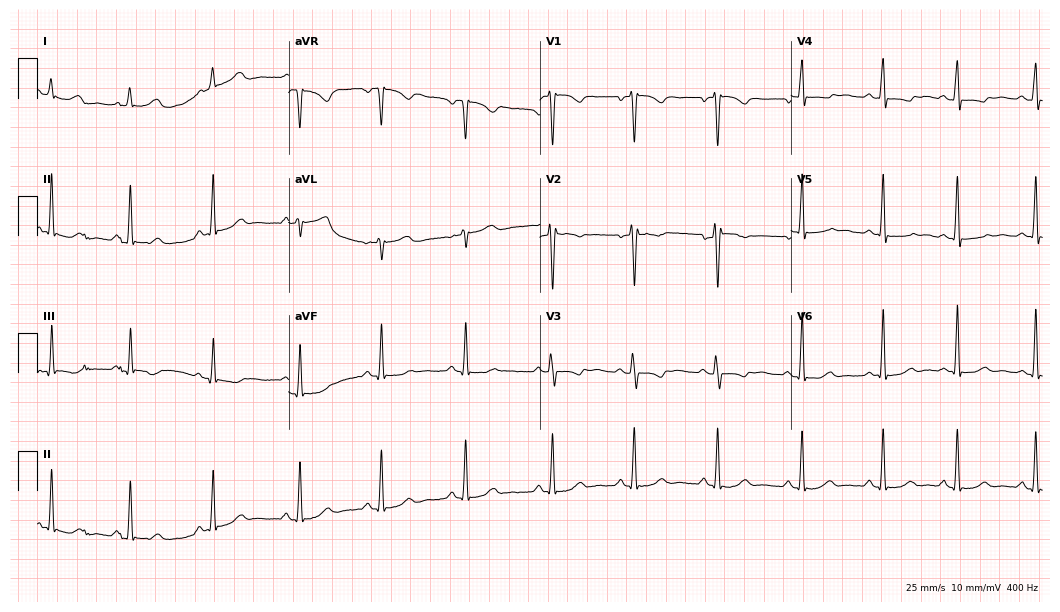
ECG — a 39-year-old female. Screened for six findings — first-degree AV block, right bundle branch block, left bundle branch block, sinus bradycardia, atrial fibrillation, sinus tachycardia — none is recorded. Findings outside these six are not listed.